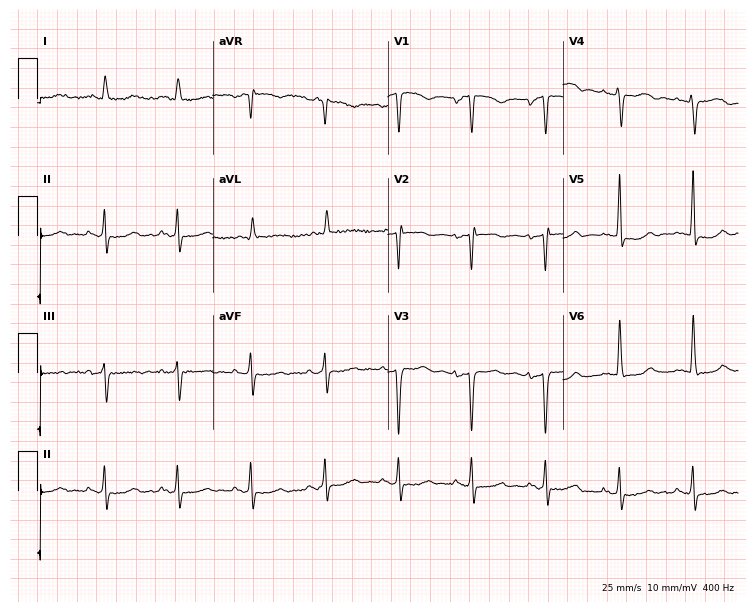
Electrocardiogram (7.1-second recording at 400 Hz), an 81-year-old female patient. Of the six screened findings (first-degree AV block, right bundle branch block, left bundle branch block, sinus bradycardia, atrial fibrillation, sinus tachycardia), none is recorded. Only these six findings were labelled.